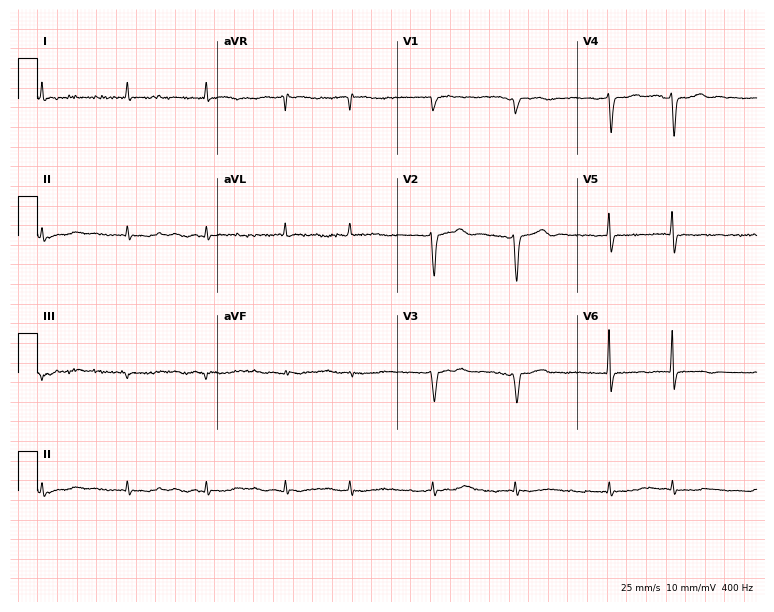
Electrocardiogram (7.3-second recording at 400 Hz), an 85-year-old man. Interpretation includes atrial fibrillation.